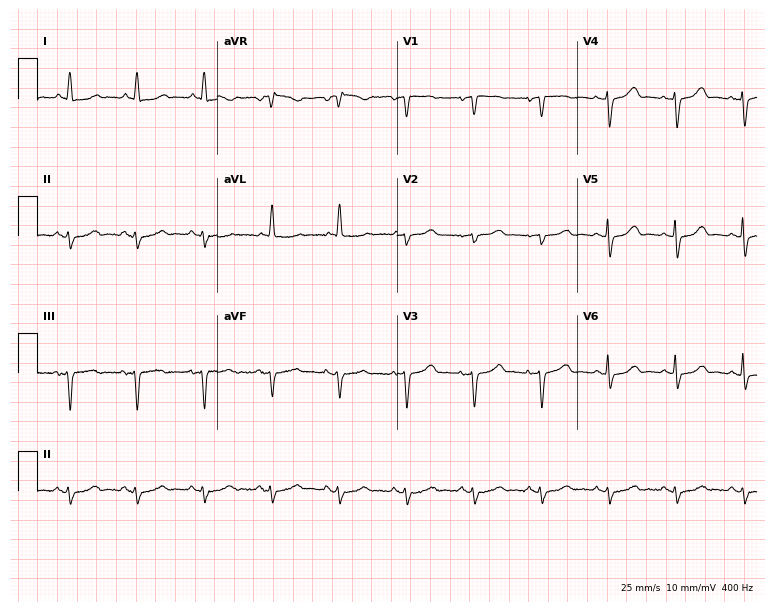
12-lead ECG from an 81-year-old woman. No first-degree AV block, right bundle branch block, left bundle branch block, sinus bradycardia, atrial fibrillation or sinus tachycardia recorded for this tracing.